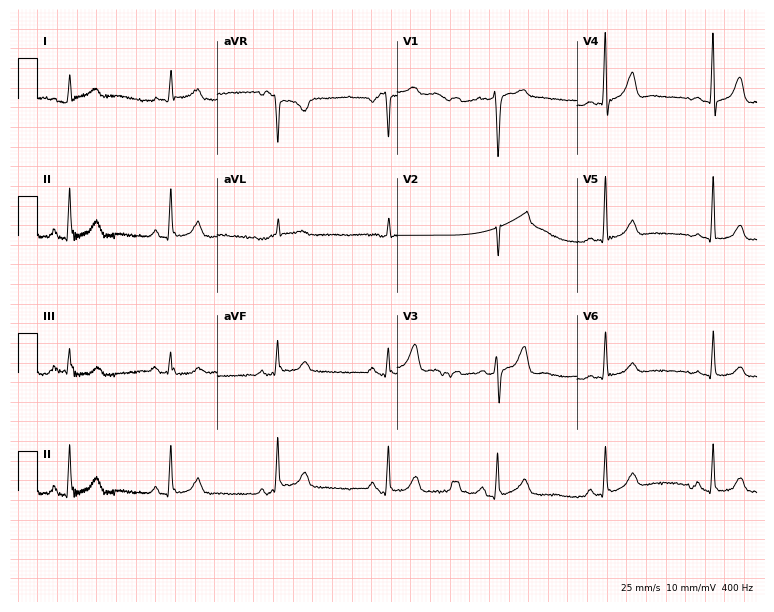
12-lead ECG from a 62-year-old man (7.3-second recording at 400 Hz). Recorded interpretation: within normal limits.